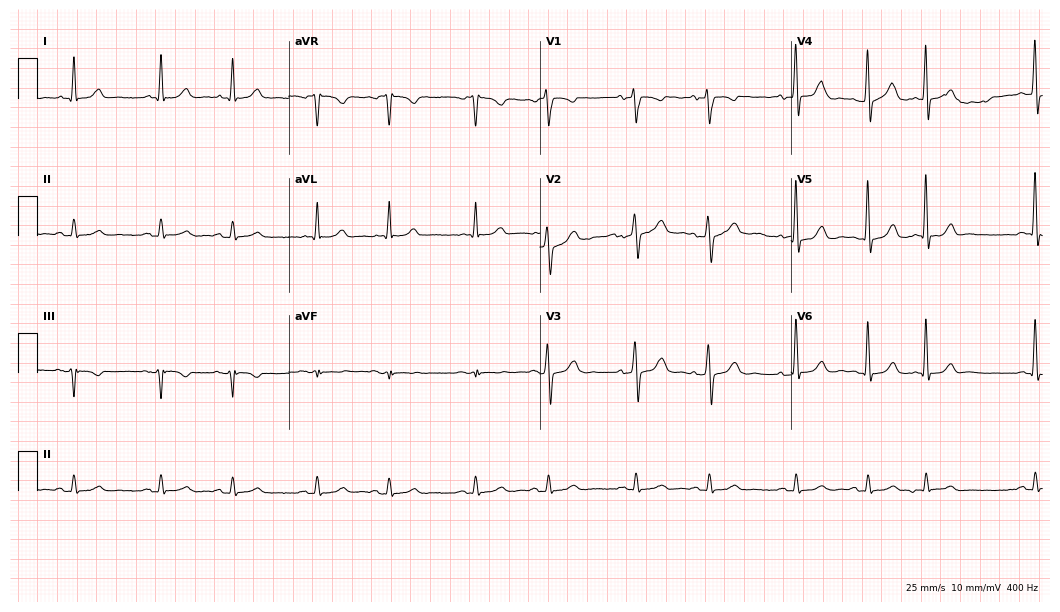
12-lead ECG from a man, 75 years old. No first-degree AV block, right bundle branch block, left bundle branch block, sinus bradycardia, atrial fibrillation or sinus tachycardia recorded for this tracing.